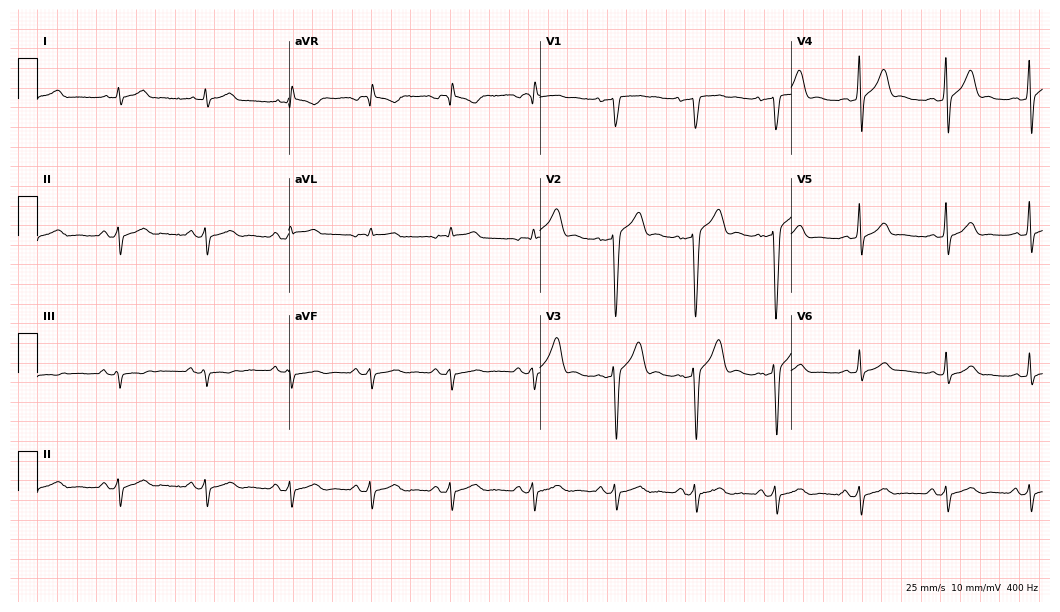
Electrocardiogram, a 28-year-old male. Of the six screened findings (first-degree AV block, right bundle branch block (RBBB), left bundle branch block (LBBB), sinus bradycardia, atrial fibrillation (AF), sinus tachycardia), none is recorded.